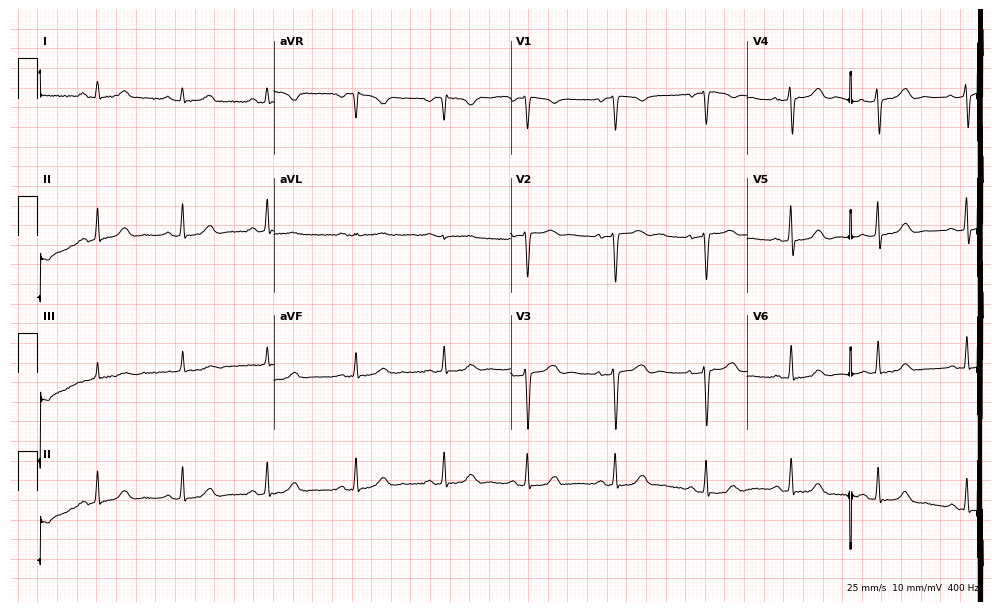
Resting 12-lead electrocardiogram. Patient: a 37-year-old woman. Read as a normal ECG.